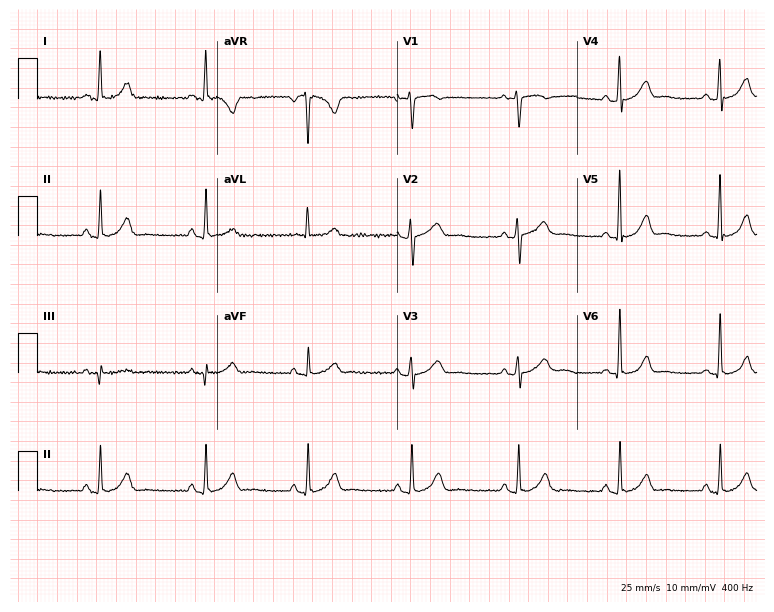
Resting 12-lead electrocardiogram (7.3-second recording at 400 Hz). Patient: a 41-year-old female. Read as a normal ECG.